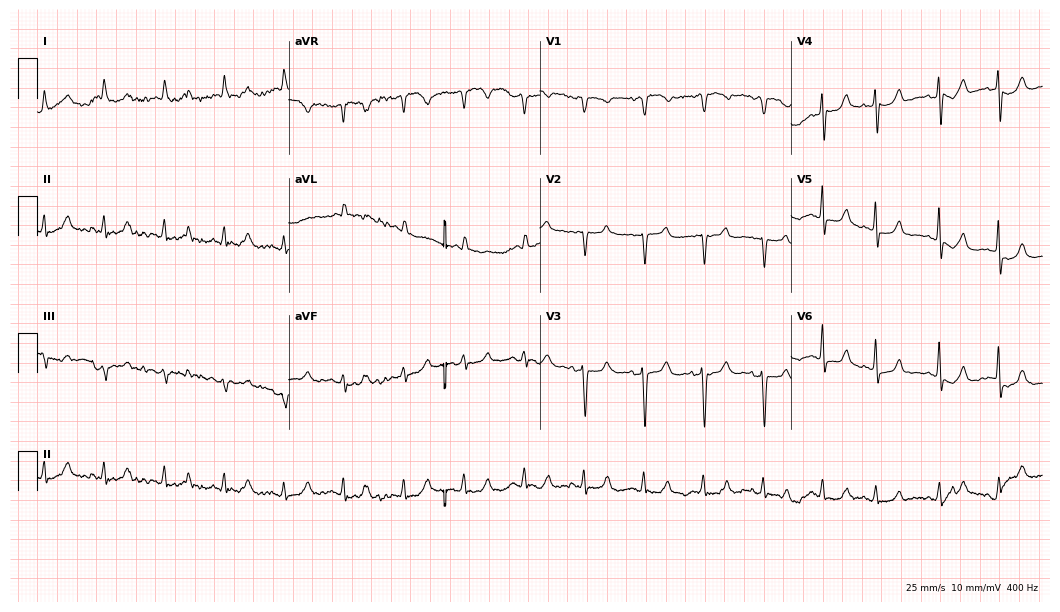
ECG — an 82-year-old woman. Screened for six findings — first-degree AV block, right bundle branch block, left bundle branch block, sinus bradycardia, atrial fibrillation, sinus tachycardia — none is recorded.